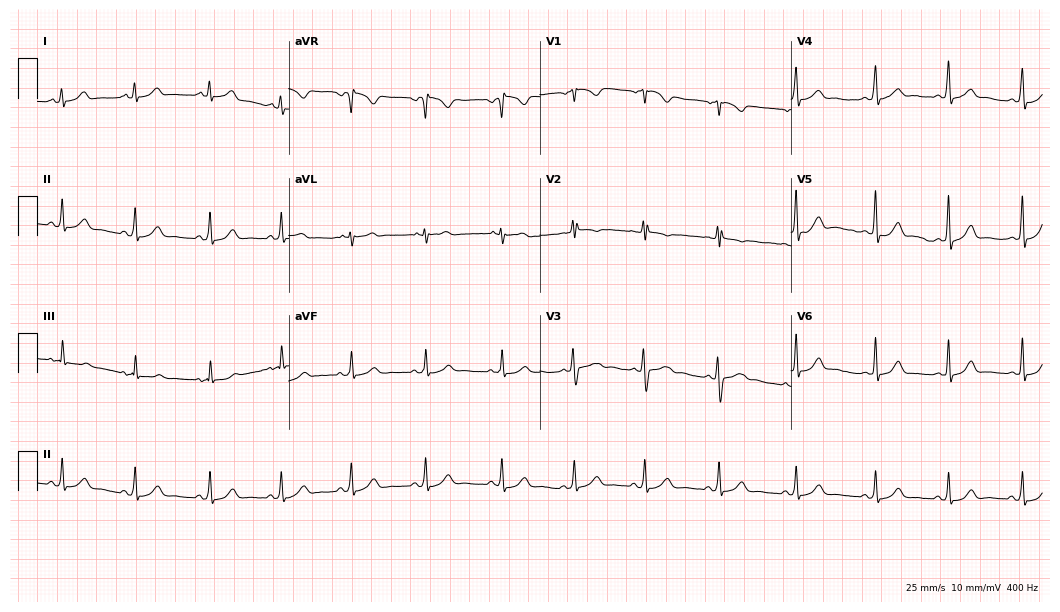
ECG — a female, 26 years old. Labelled as a normal ECG.